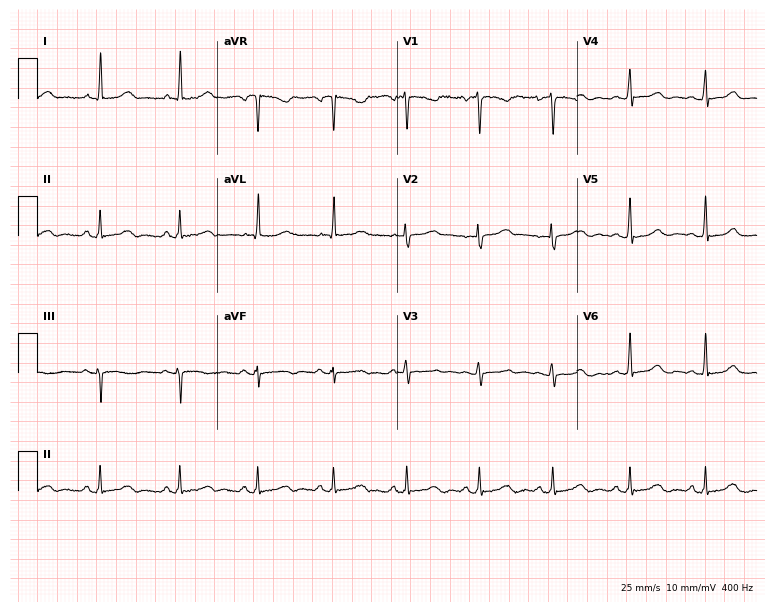
Standard 12-lead ECG recorded from a 51-year-old woman. Read as a normal ECG.